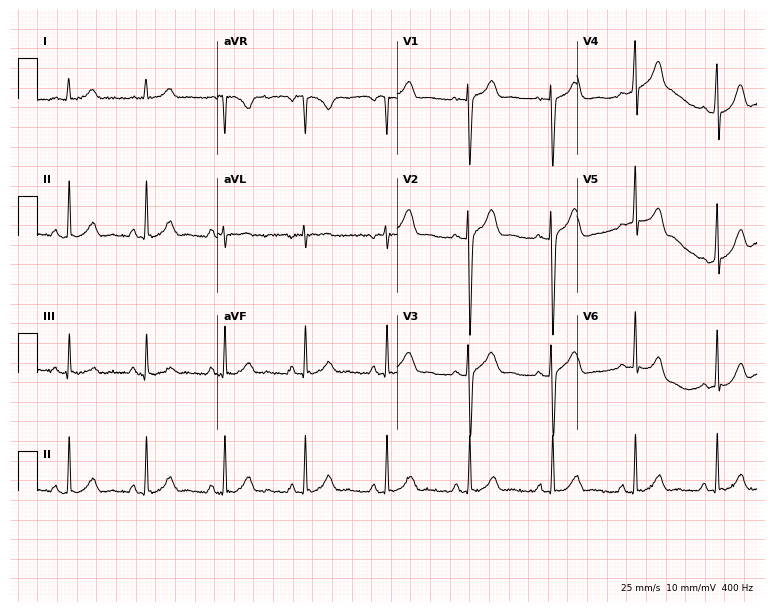
12-lead ECG from a 20-year-old woman (7.3-second recording at 400 Hz). No first-degree AV block, right bundle branch block, left bundle branch block, sinus bradycardia, atrial fibrillation or sinus tachycardia recorded for this tracing.